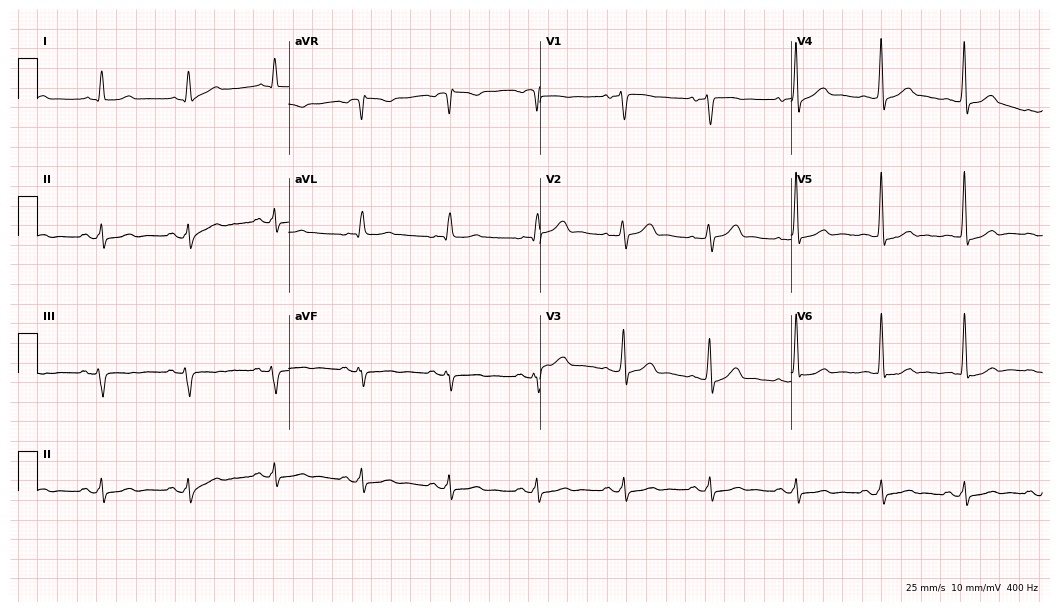
Standard 12-lead ECG recorded from a 51-year-old male (10.2-second recording at 400 Hz). None of these six findings is recorded: first-degree AV block, right bundle branch block, left bundle branch block, sinus bradycardia, atrial fibrillation, sinus tachycardia. Other findings, if any, are not listed.